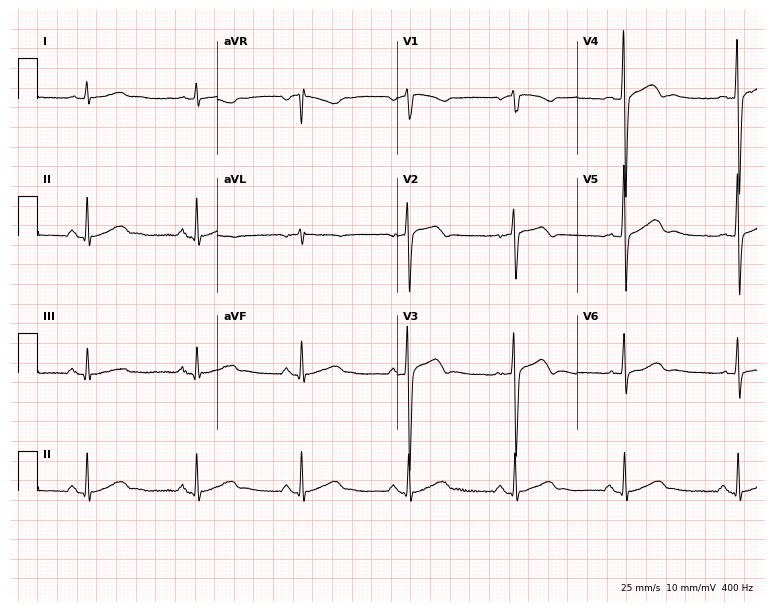
12-lead ECG from a female patient, 63 years old (7.3-second recording at 400 Hz). Recorded interpretation: within normal limits.